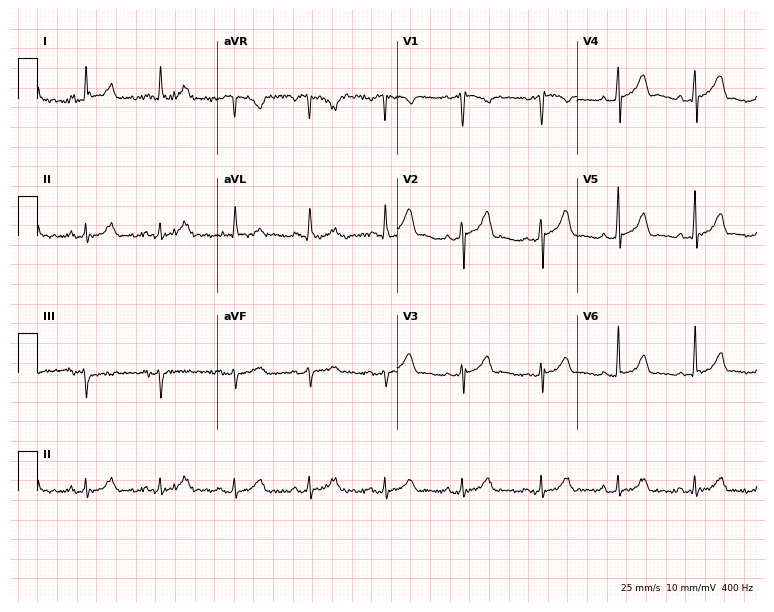
Standard 12-lead ECG recorded from a 65-year-old male. Read as a normal ECG.